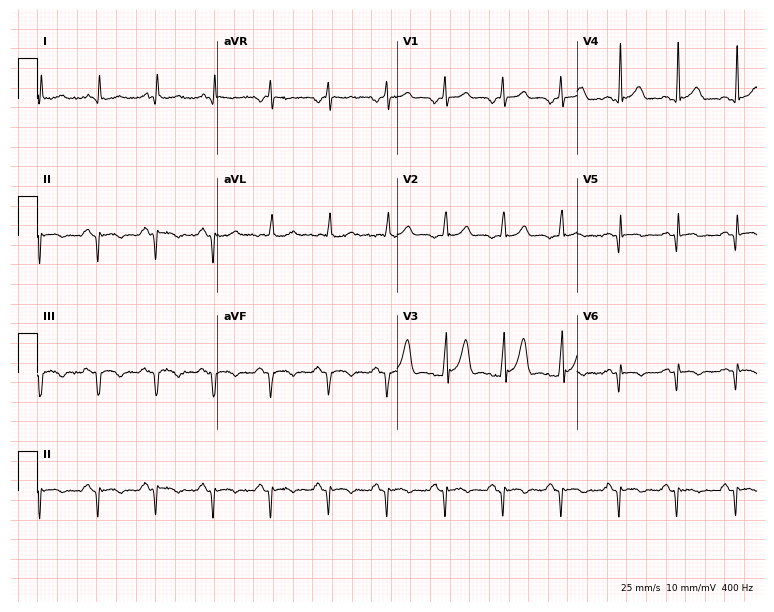
Resting 12-lead electrocardiogram. Patient: a man, 47 years old. The tracing shows sinus tachycardia (a sinus rate of 100 beats per minute or more).